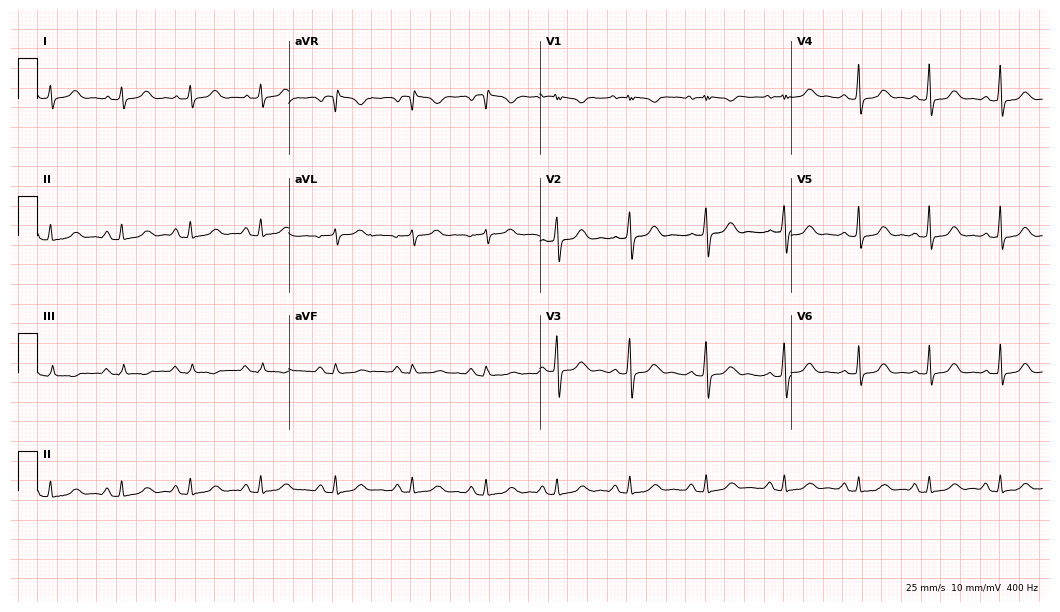
ECG — a 31-year-old female. Screened for six findings — first-degree AV block, right bundle branch block, left bundle branch block, sinus bradycardia, atrial fibrillation, sinus tachycardia — none is recorded. Findings outside these six are not listed.